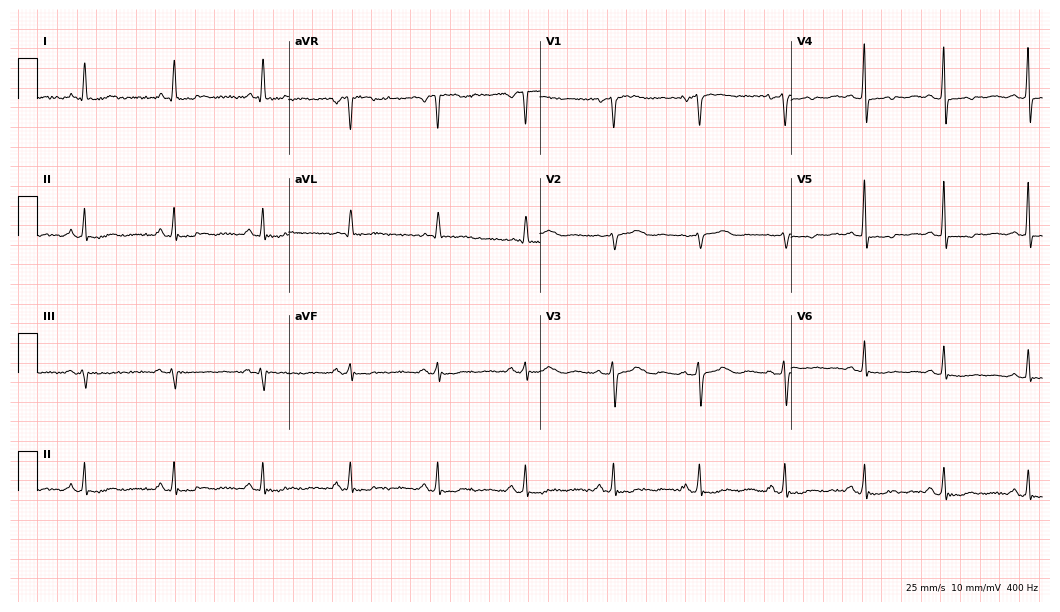
12-lead ECG from a woman, 68 years old. Screened for six findings — first-degree AV block, right bundle branch block (RBBB), left bundle branch block (LBBB), sinus bradycardia, atrial fibrillation (AF), sinus tachycardia — none is recorded.